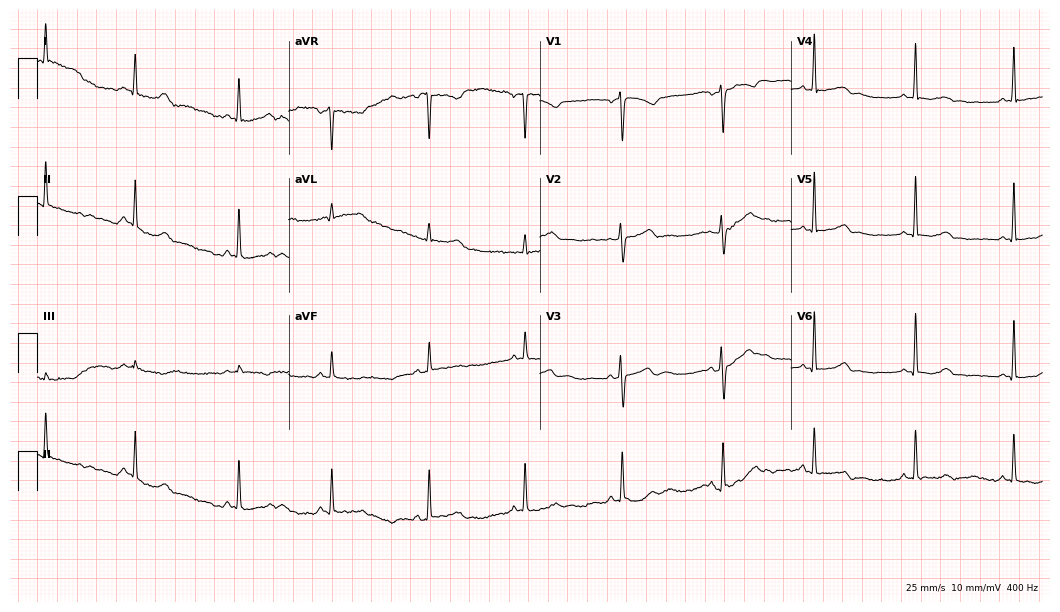
Electrocardiogram (10.2-second recording at 400 Hz), a female patient, 27 years old. Overall reading on record: normal ECG.